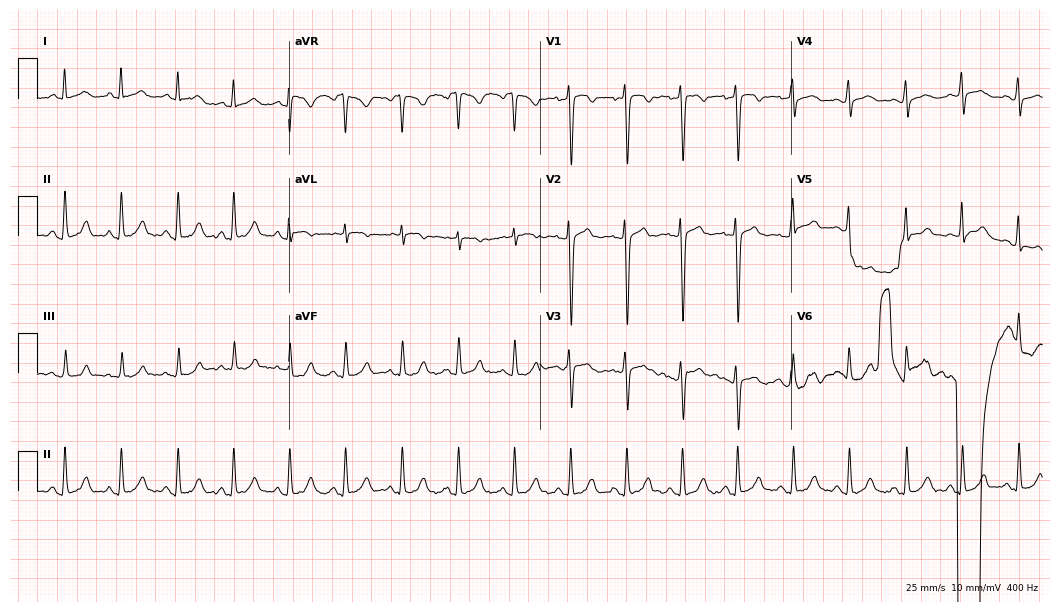
Electrocardiogram (10.2-second recording at 400 Hz), a 30-year-old male. Of the six screened findings (first-degree AV block, right bundle branch block, left bundle branch block, sinus bradycardia, atrial fibrillation, sinus tachycardia), none is recorded. Only these six findings were labelled.